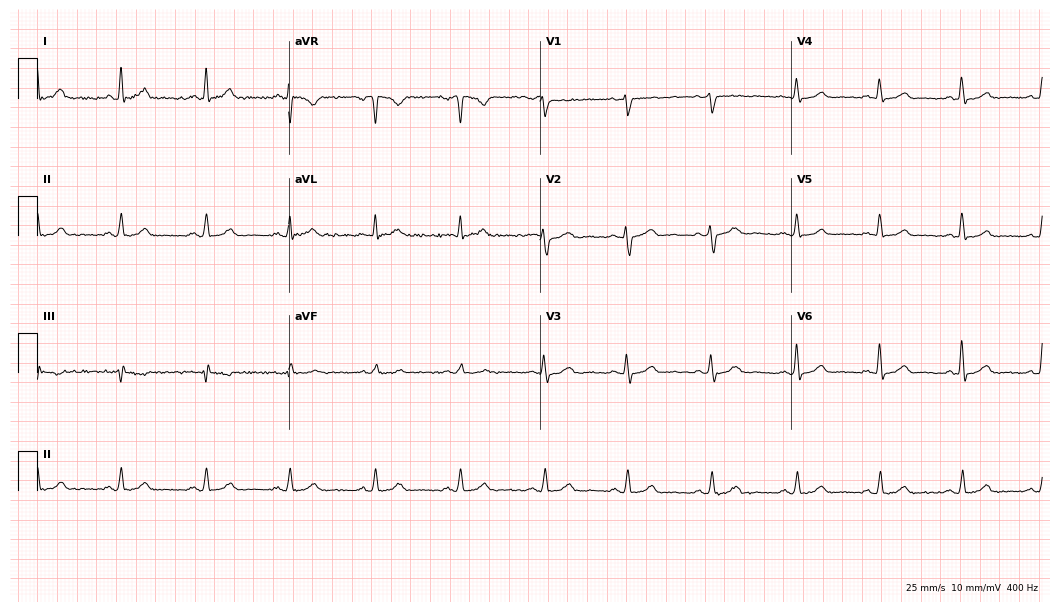
Standard 12-lead ECG recorded from a 42-year-old male. Read as a normal ECG.